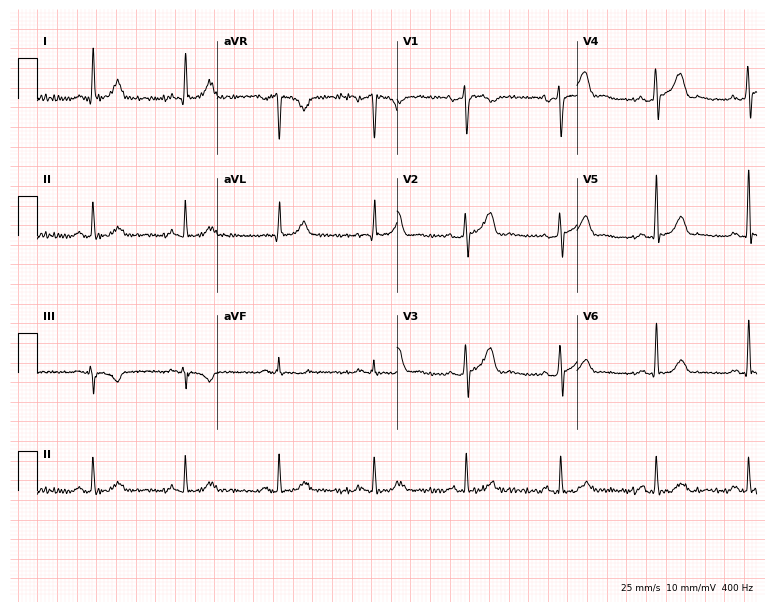
Electrocardiogram, a male, 40 years old. Overall reading on record: normal ECG.